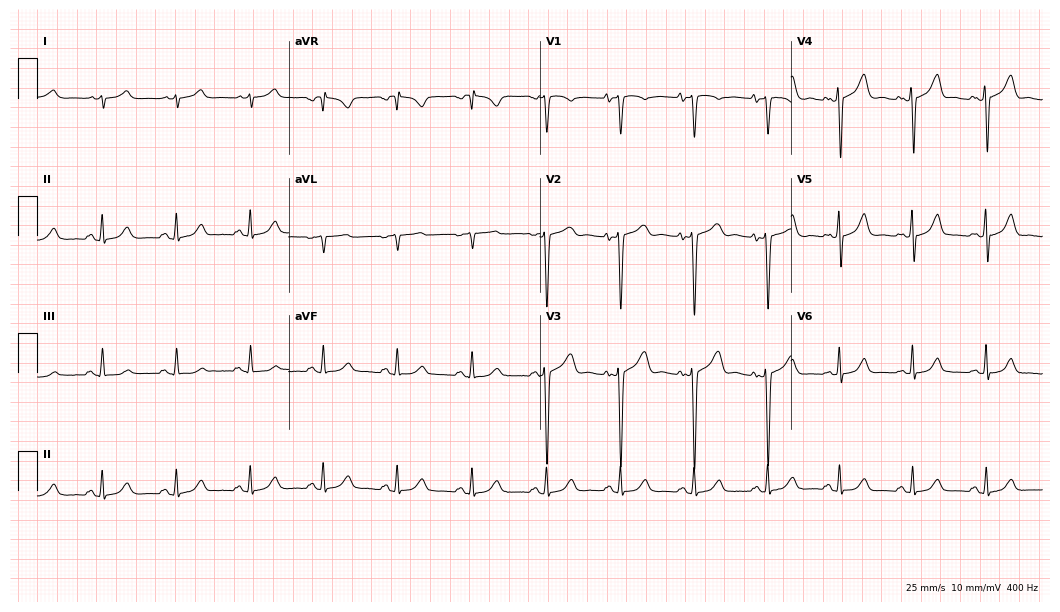
ECG (10.2-second recording at 400 Hz) — a man, 56 years old. Screened for six findings — first-degree AV block, right bundle branch block, left bundle branch block, sinus bradycardia, atrial fibrillation, sinus tachycardia — none is recorded.